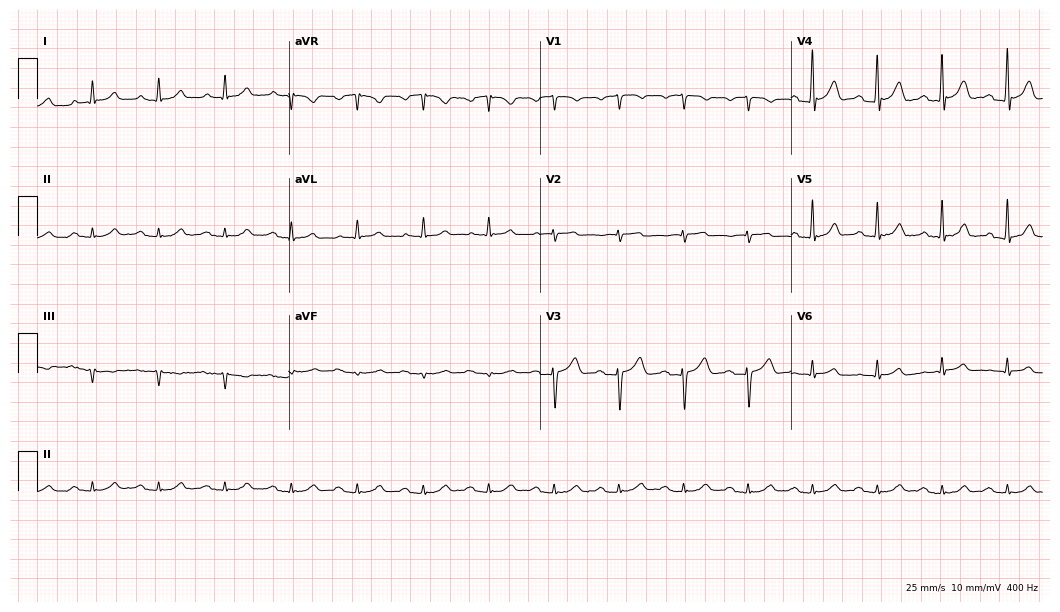
ECG (10.2-second recording at 400 Hz) — a 71-year-old male patient. Screened for six findings — first-degree AV block, right bundle branch block, left bundle branch block, sinus bradycardia, atrial fibrillation, sinus tachycardia — none is recorded.